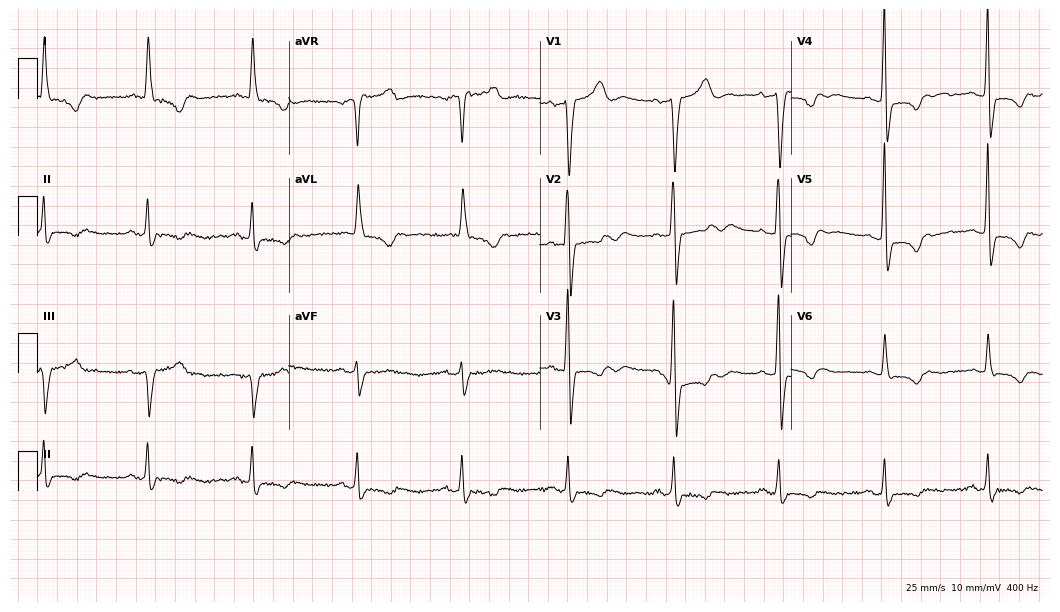
12-lead ECG (10.2-second recording at 400 Hz) from a 72-year-old male patient. Screened for six findings — first-degree AV block, right bundle branch block, left bundle branch block, sinus bradycardia, atrial fibrillation, sinus tachycardia — none is recorded.